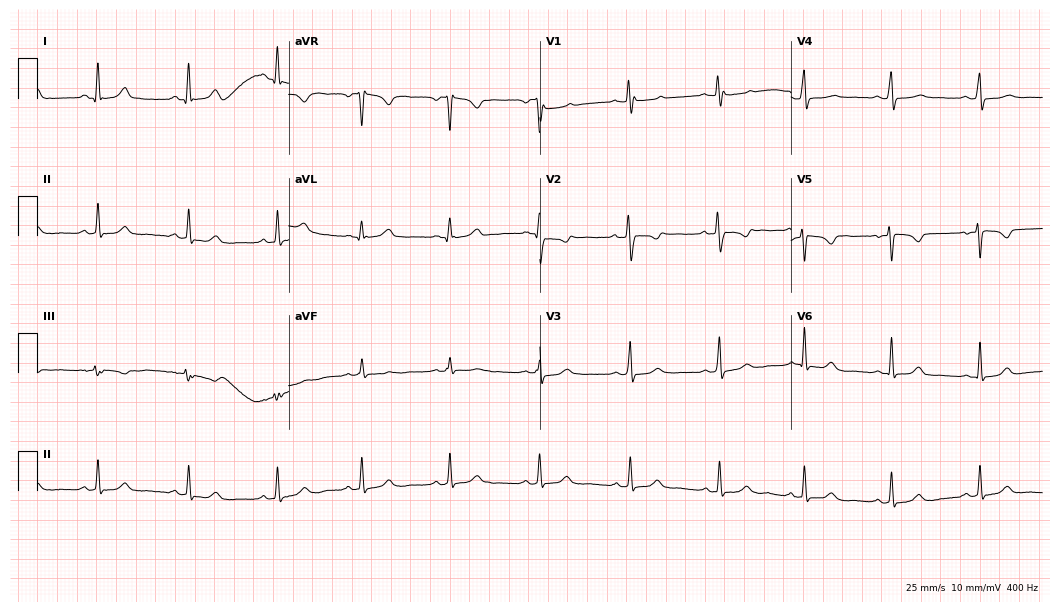
12-lead ECG from a 34-year-old female patient. Recorded interpretation: within normal limits.